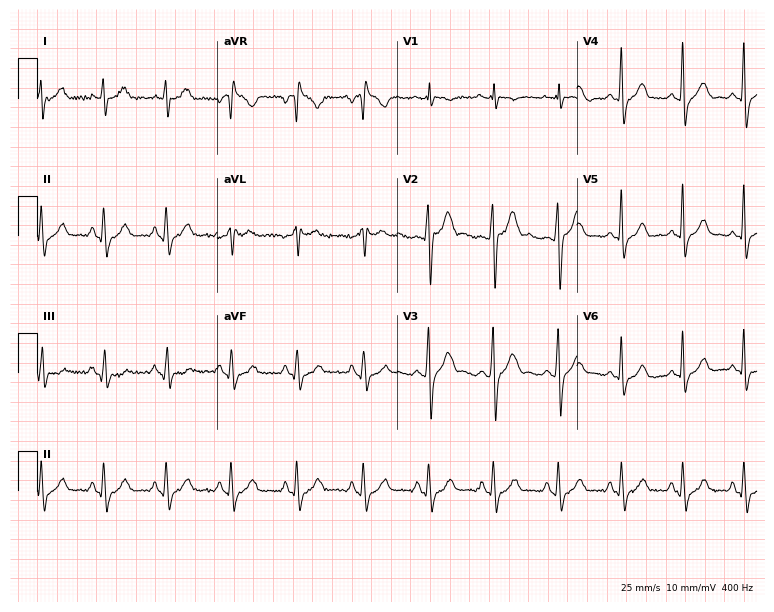
Standard 12-lead ECG recorded from a male patient, 29 years old (7.3-second recording at 400 Hz). None of these six findings is recorded: first-degree AV block, right bundle branch block (RBBB), left bundle branch block (LBBB), sinus bradycardia, atrial fibrillation (AF), sinus tachycardia.